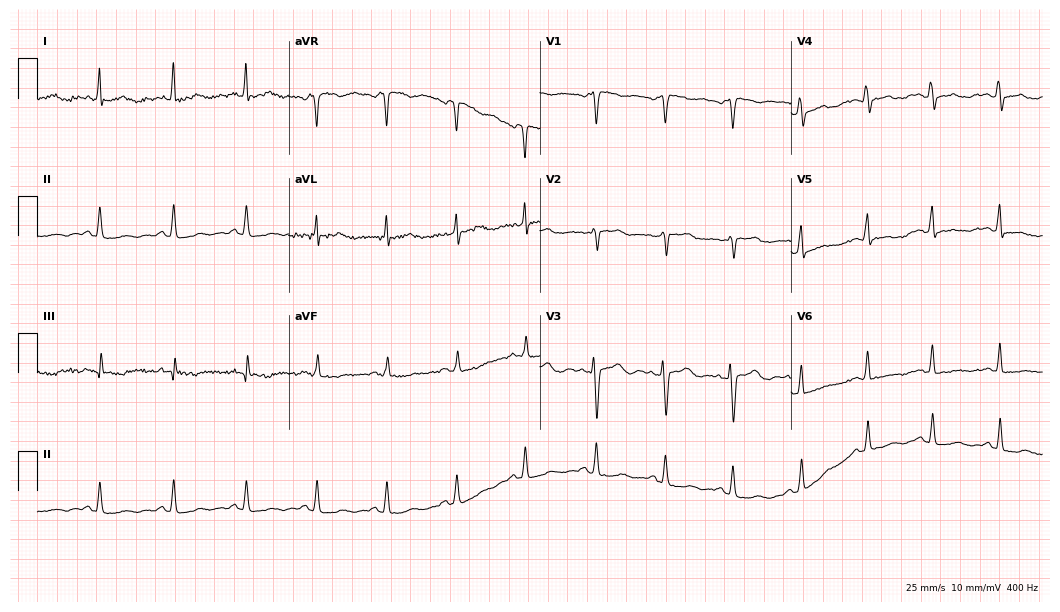
Standard 12-lead ECG recorded from a female, 49 years old. None of these six findings is recorded: first-degree AV block, right bundle branch block, left bundle branch block, sinus bradycardia, atrial fibrillation, sinus tachycardia. Only these six findings were labelled.